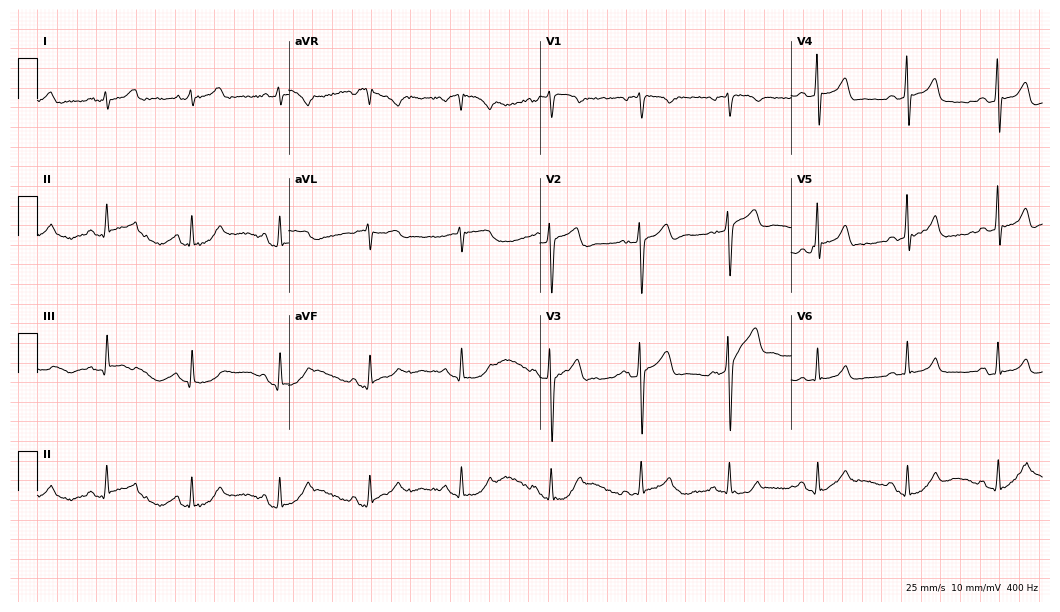
Resting 12-lead electrocardiogram (10.2-second recording at 400 Hz). Patient: a 43-year-old man. Read as a normal ECG.